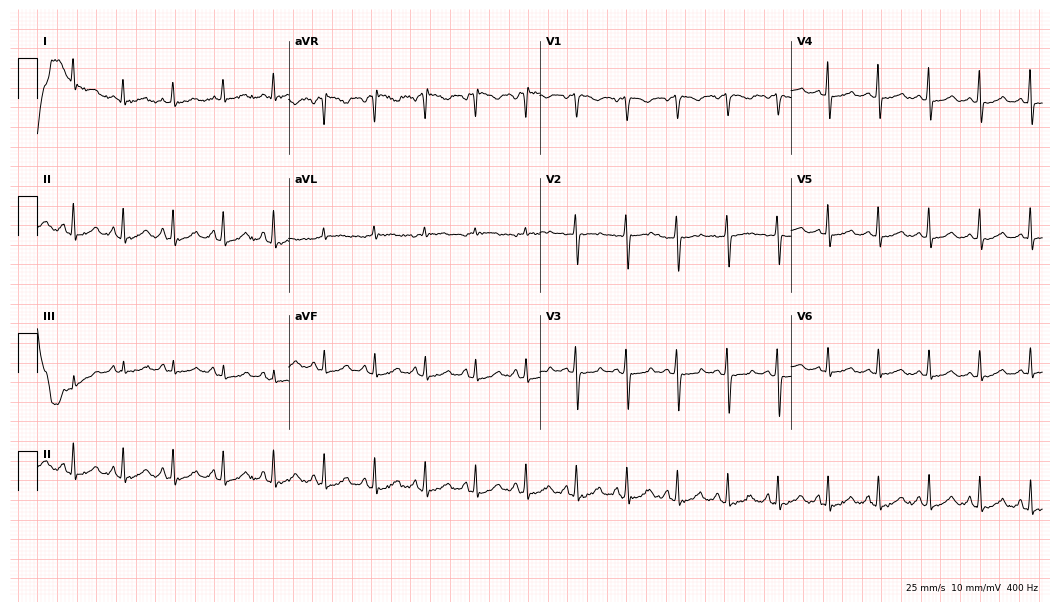
Resting 12-lead electrocardiogram. Patient: a 47-year-old male. The tracing shows sinus tachycardia (a sinus rate of 100 beats per minute or more).